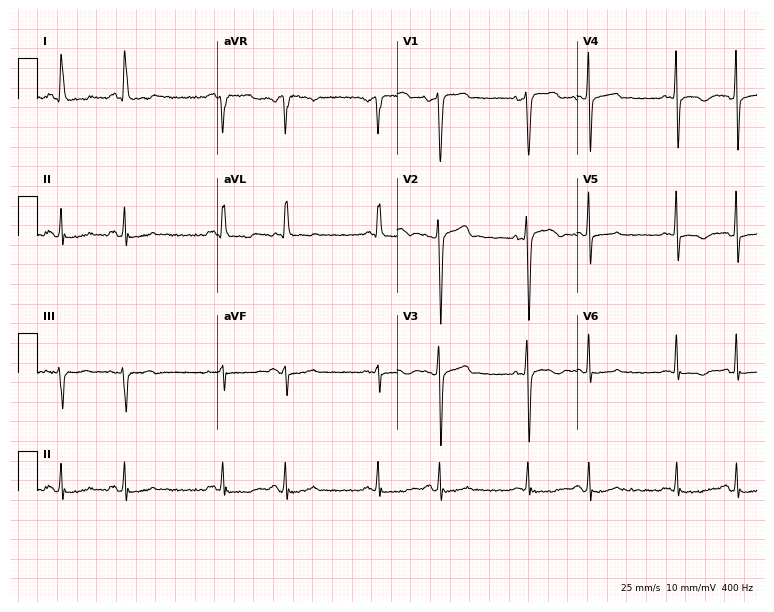
Standard 12-lead ECG recorded from a female patient, 77 years old. None of these six findings is recorded: first-degree AV block, right bundle branch block, left bundle branch block, sinus bradycardia, atrial fibrillation, sinus tachycardia.